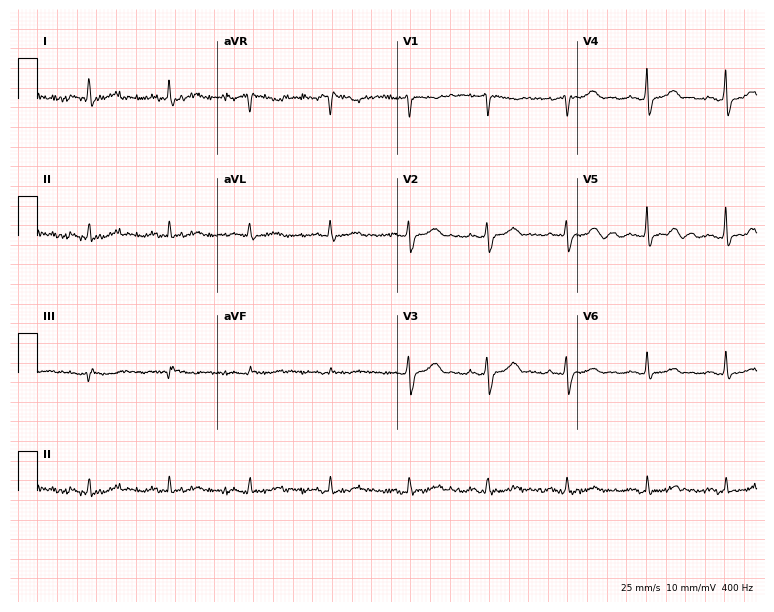
Resting 12-lead electrocardiogram. Patient: a male, 66 years old. Read as a normal ECG.